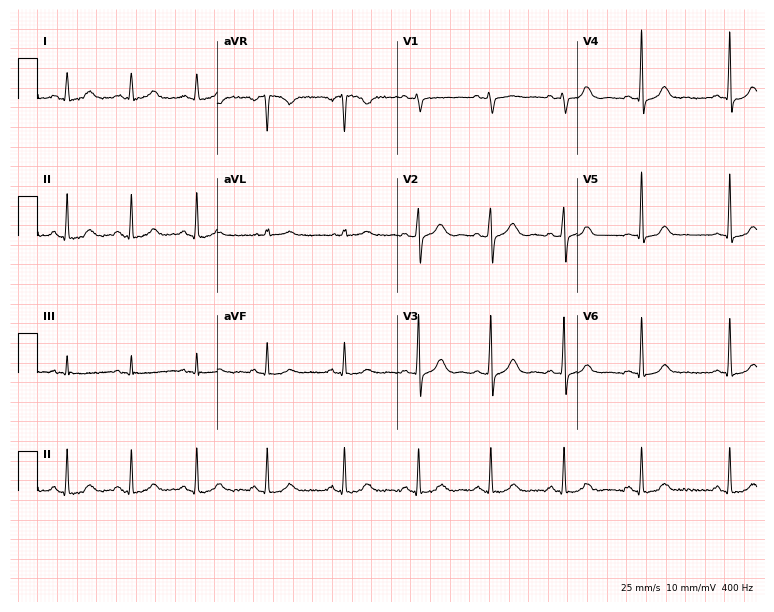
Electrocardiogram (7.3-second recording at 400 Hz), a female patient, 40 years old. Overall reading on record: normal ECG.